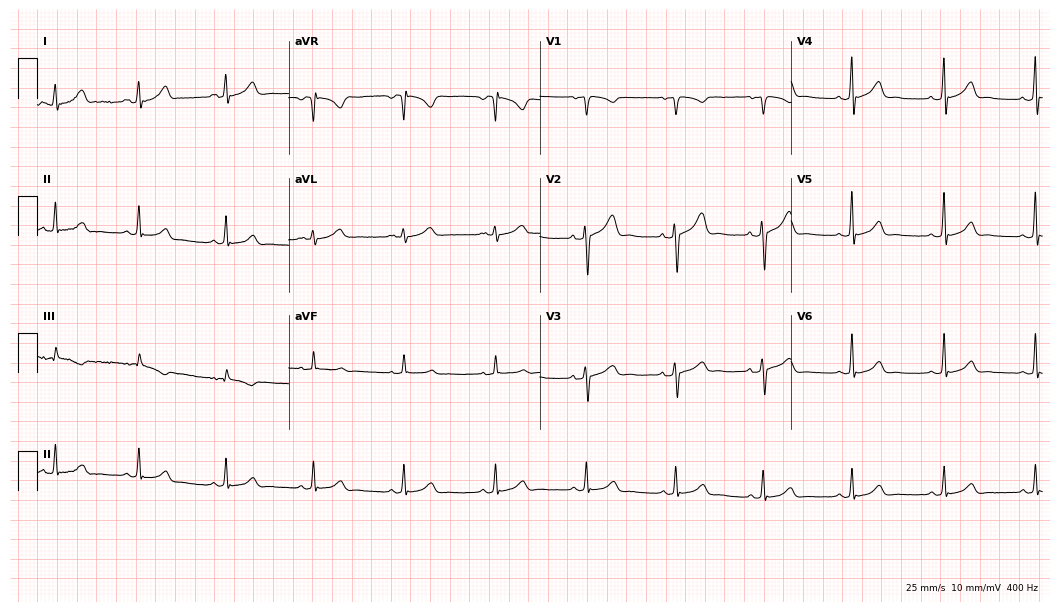
12-lead ECG from a woman, 17 years old (10.2-second recording at 400 Hz). Recorded interpretation: within normal limits.